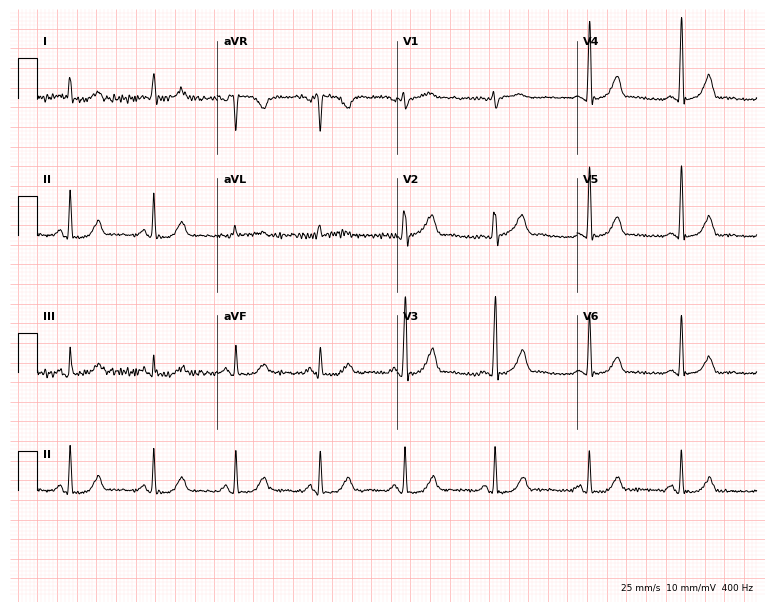
Standard 12-lead ECG recorded from a female, 59 years old. None of these six findings is recorded: first-degree AV block, right bundle branch block (RBBB), left bundle branch block (LBBB), sinus bradycardia, atrial fibrillation (AF), sinus tachycardia. Findings outside these six are not listed.